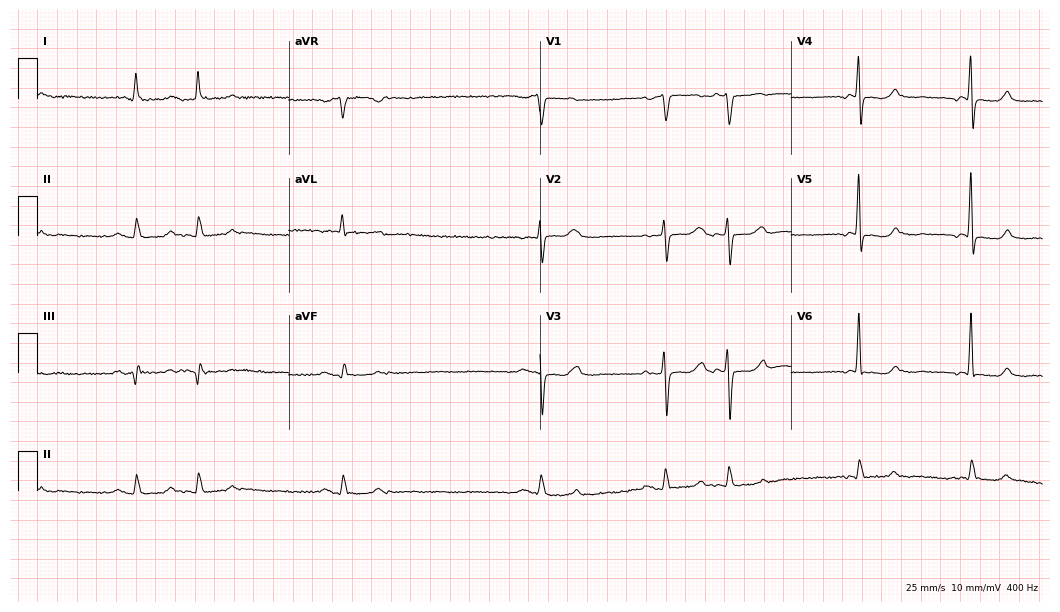
Resting 12-lead electrocardiogram. Patient: a male, 80 years old. The tracing shows first-degree AV block.